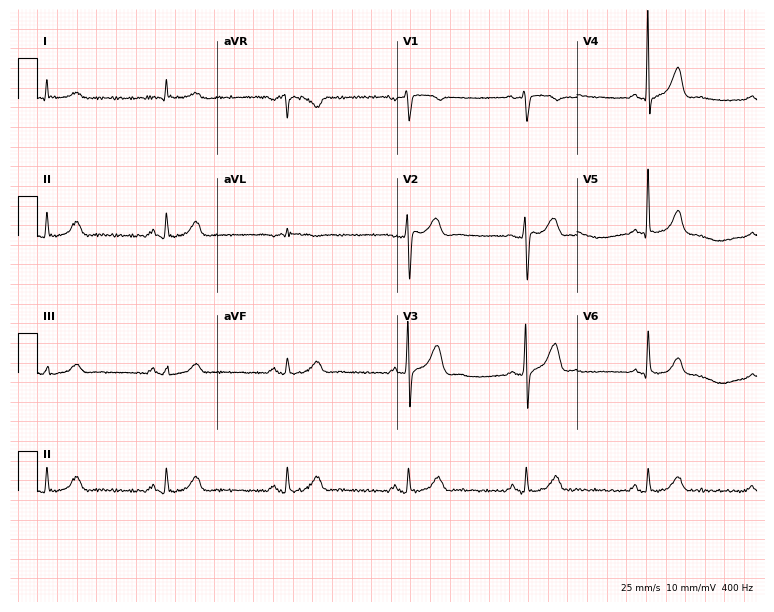
12-lead ECG from a man, 58 years old. Findings include sinus bradycardia (a sinus rate of 50 beats per minute or less).